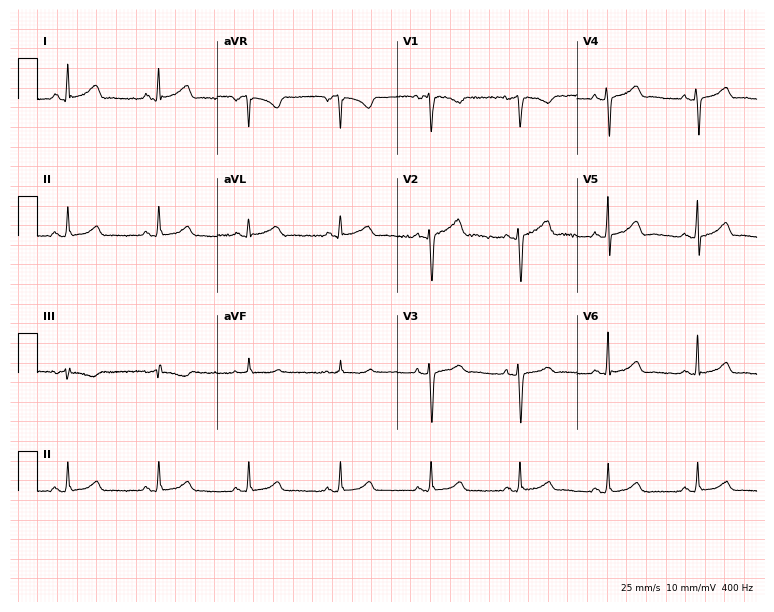
Electrocardiogram (7.3-second recording at 400 Hz), a female patient, 53 years old. Overall reading on record: normal ECG.